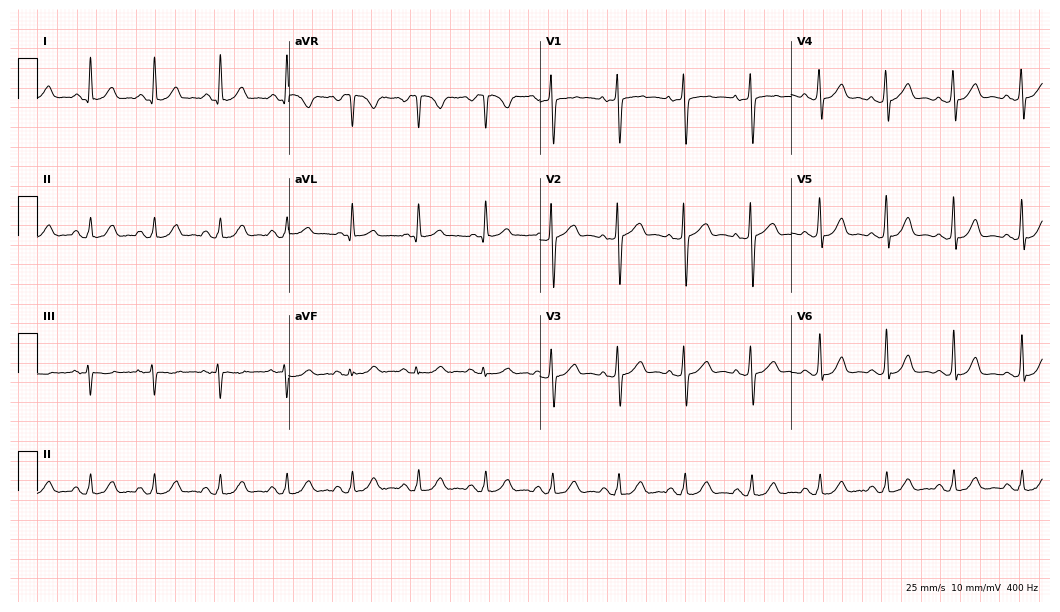
Resting 12-lead electrocardiogram (10.2-second recording at 400 Hz). Patient: a 48-year-old woman. Read as a normal ECG.